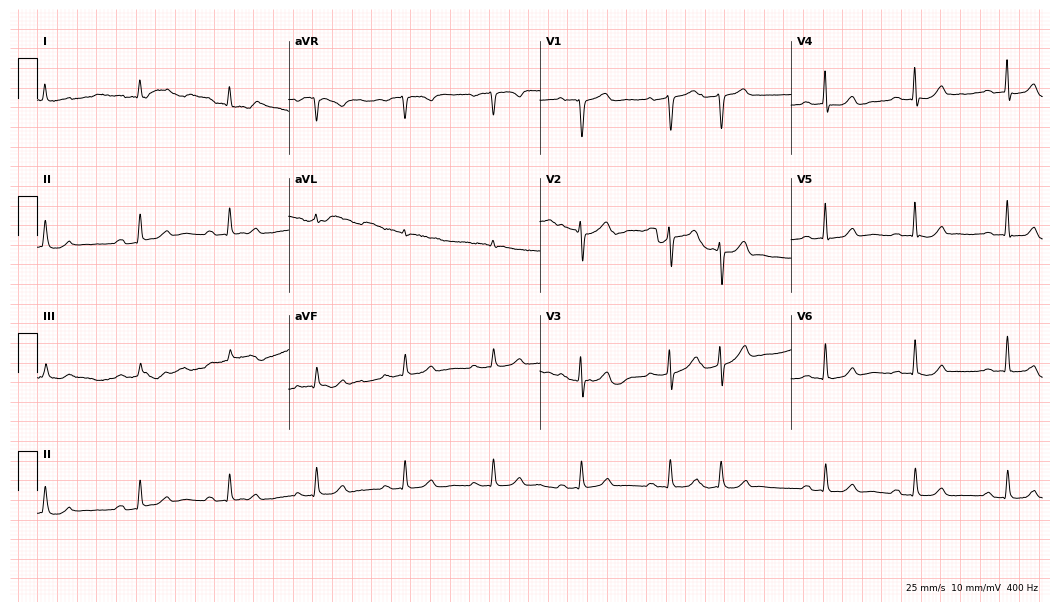
12-lead ECG (10.2-second recording at 400 Hz) from an 80-year-old male. Screened for six findings — first-degree AV block, right bundle branch block, left bundle branch block, sinus bradycardia, atrial fibrillation, sinus tachycardia — none is recorded.